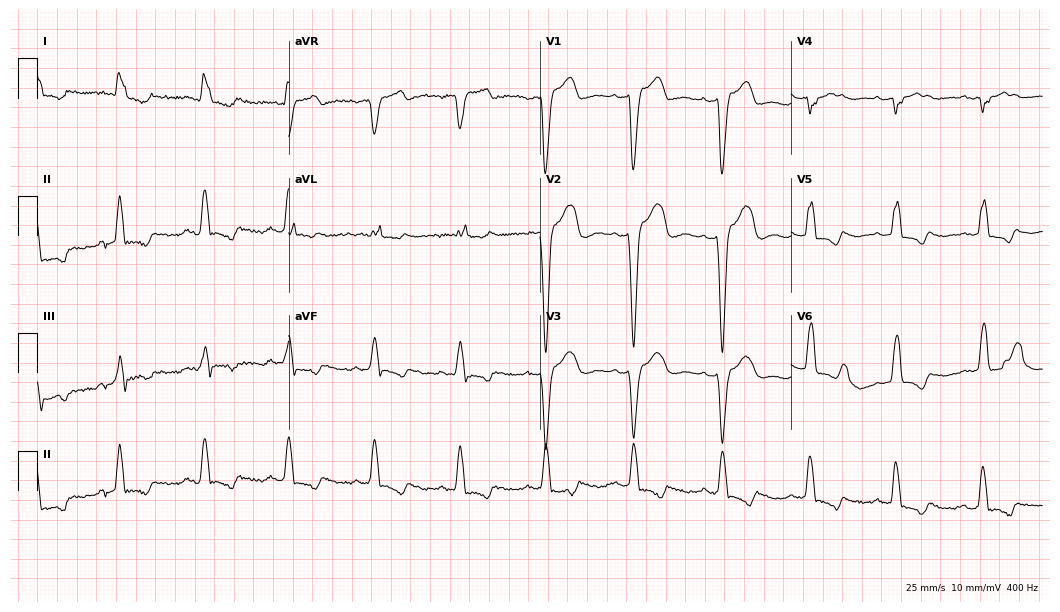
Standard 12-lead ECG recorded from an 83-year-old male patient. None of these six findings is recorded: first-degree AV block, right bundle branch block, left bundle branch block, sinus bradycardia, atrial fibrillation, sinus tachycardia. Findings outside these six are not listed.